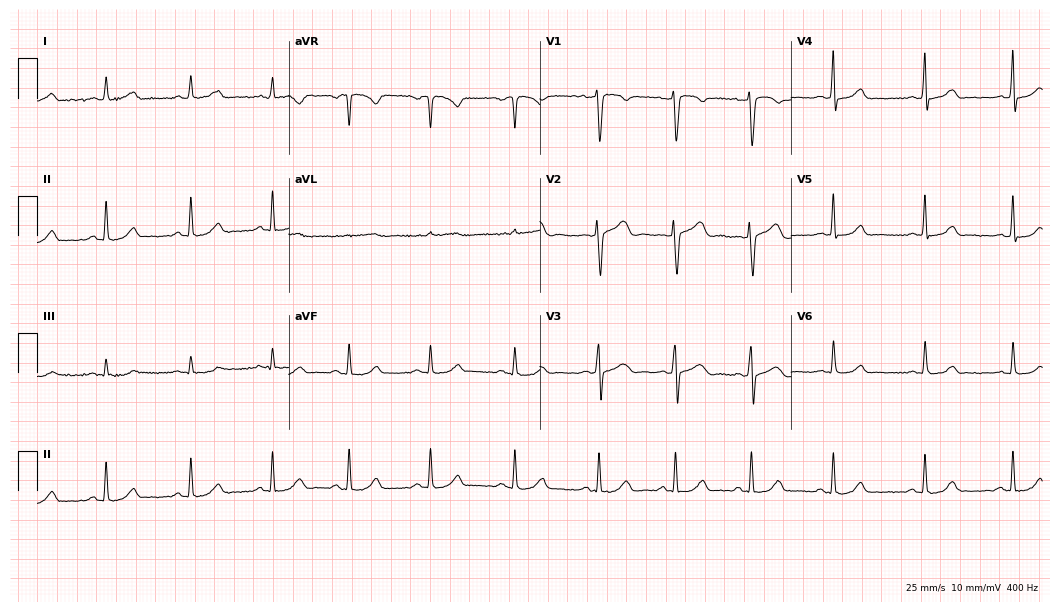
ECG (10.2-second recording at 400 Hz) — a 39-year-old female. Labelled as a normal ECG.